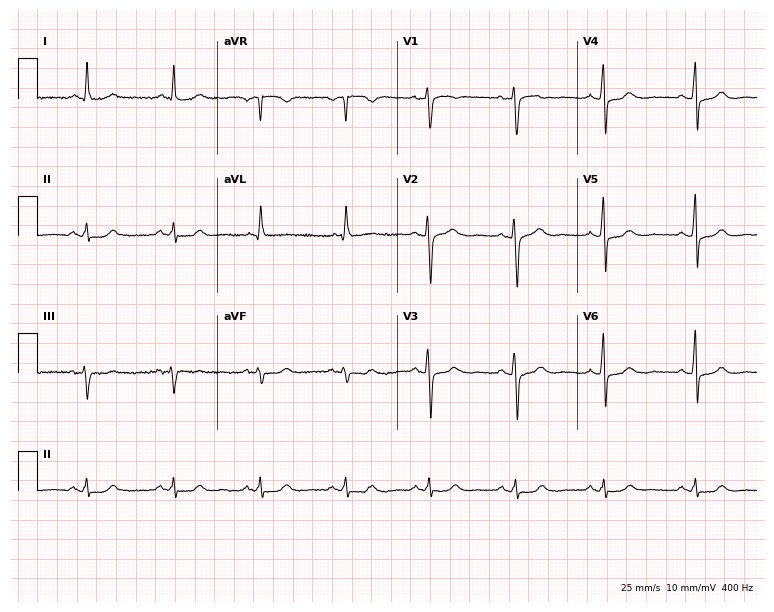
Standard 12-lead ECG recorded from a male, 56 years old. Read as a normal ECG.